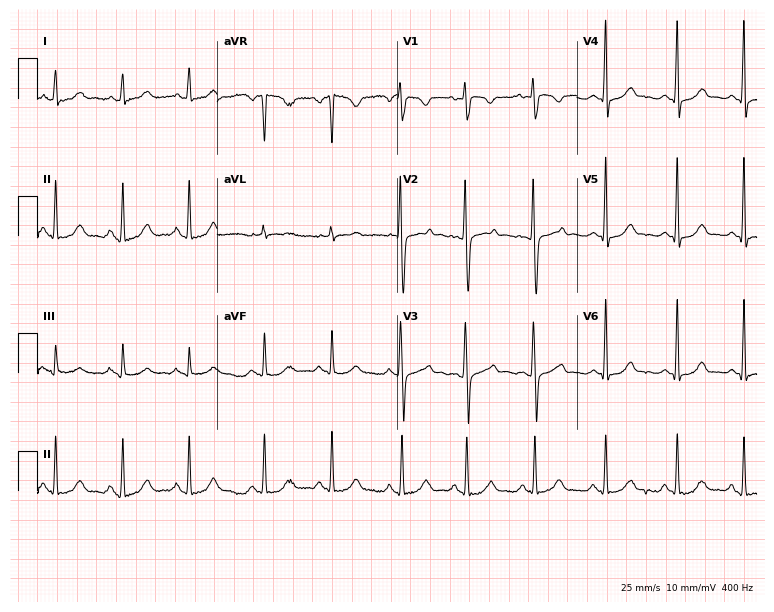
12-lead ECG from a 33-year-old female patient. Recorded interpretation: within normal limits.